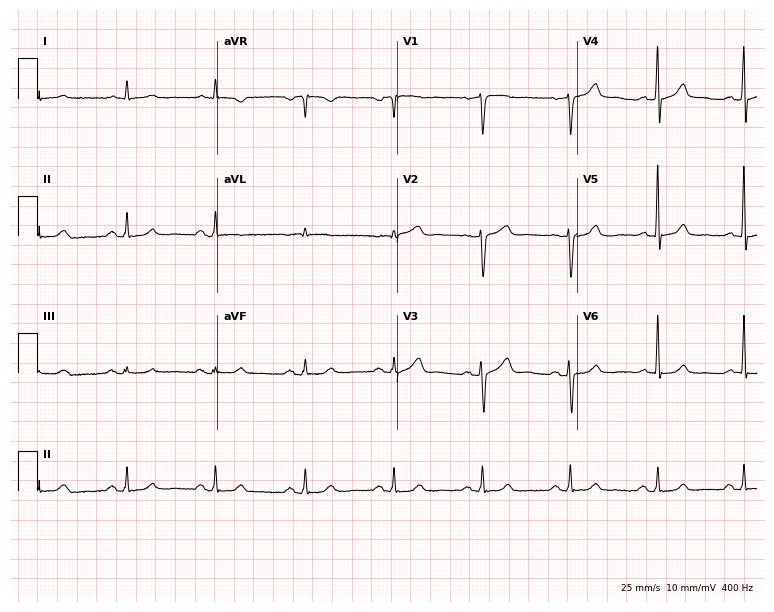
Standard 12-lead ECG recorded from a 55-year-old male (7.3-second recording at 400 Hz). None of these six findings is recorded: first-degree AV block, right bundle branch block, left bundle branch block, sinus bradycardia, atrial fibrillation, sinus tachycardia.